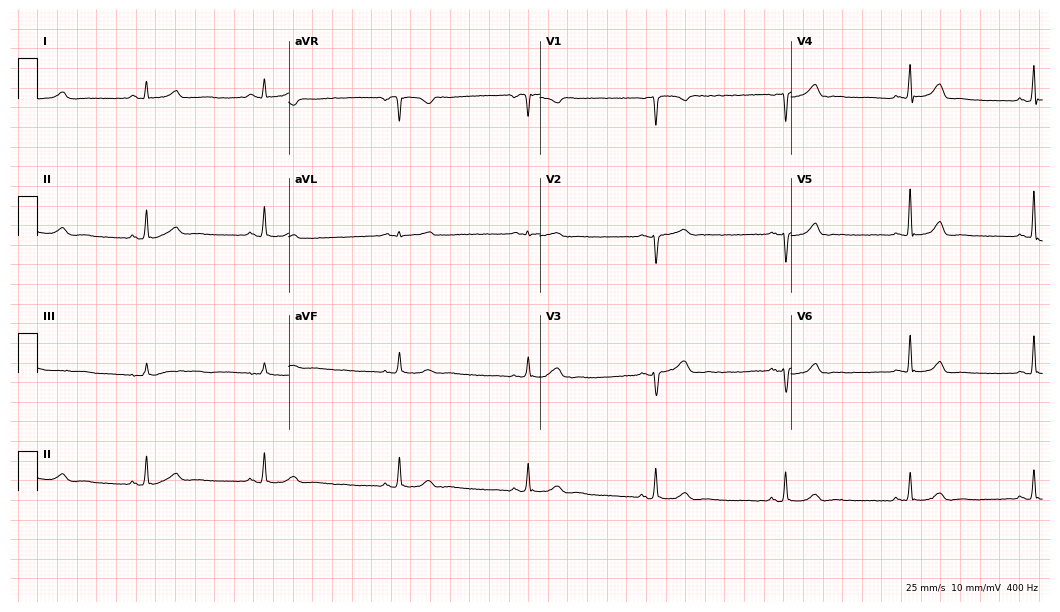
12-lead ECG (10.2-second recording at 400 Hz) from a female patient, 38 years old. Findings include sinus bradycardia (a sinus rate of 50 beats per minute or less).